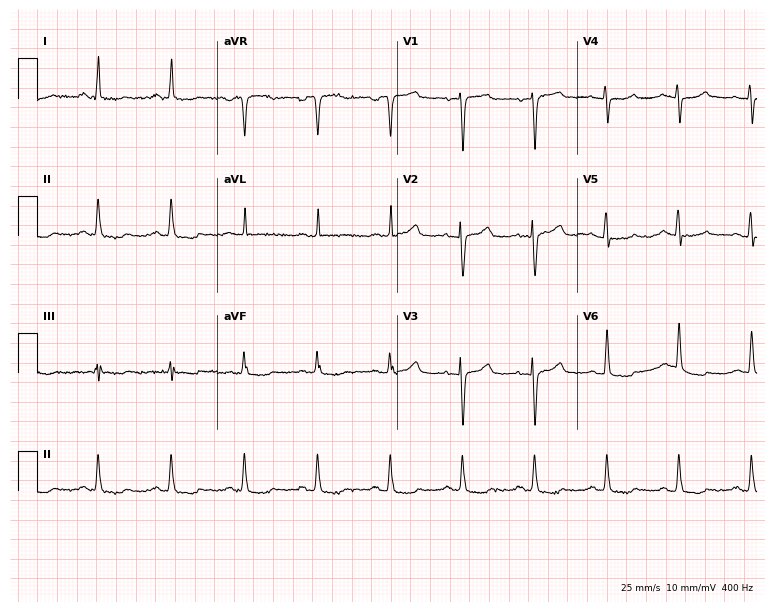
12-lead ECG from a woman, 69 years old. No first-degree AV block, right bundle branch block (RBBB), left bundle branch block (LBBB), sinus bradycardia, atrial fibrillation (AF) or sinus tachycardia recorded for this tracing.